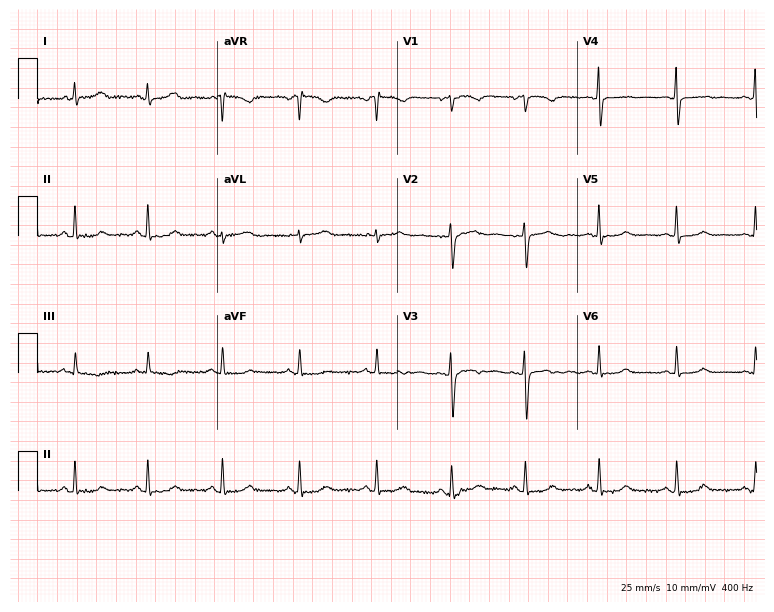
12-lead ECG (7.3-second recording at 400 Hz) from a 45-year-old female. Labelled as a normal ECG.